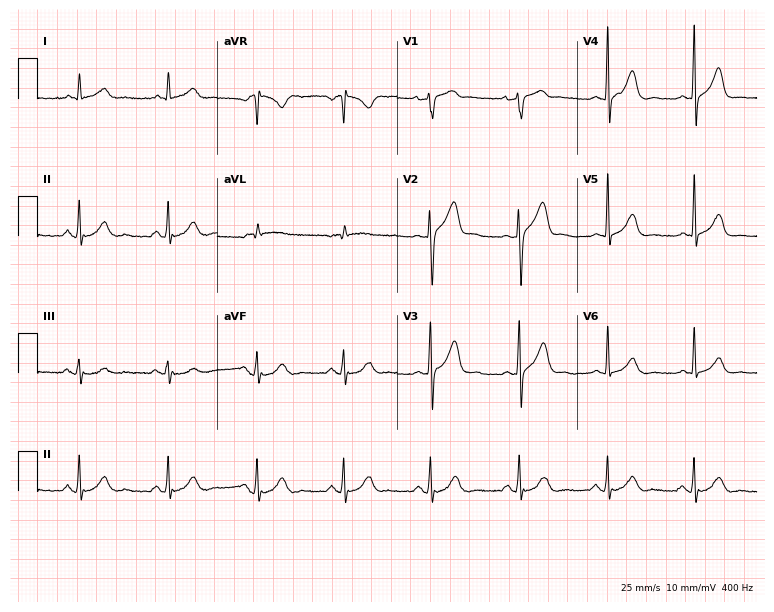
ECG (7.3-second recording at 400 Hz) — a male, 54 years old. Screened for six findings — first-degree AV block, right bundle branch block, left bundle branch block, sinus bradycardia, atrial fibrillation, sinus tachycardia — none is recorded. Findings outside these six are not listed.